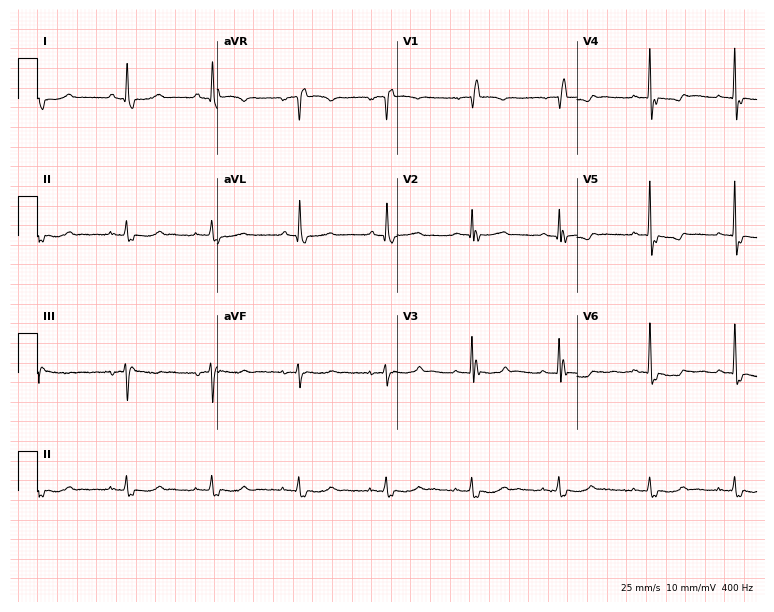
12-lead ECG from a 17-year-old female. Screened for six findings — first-degree AV block, right bundle branch block, left bundle branch block, sinus bradycardia, atrial fibrillation, sinus tachycardia — none is recorded. Findings outside these six are not listed.